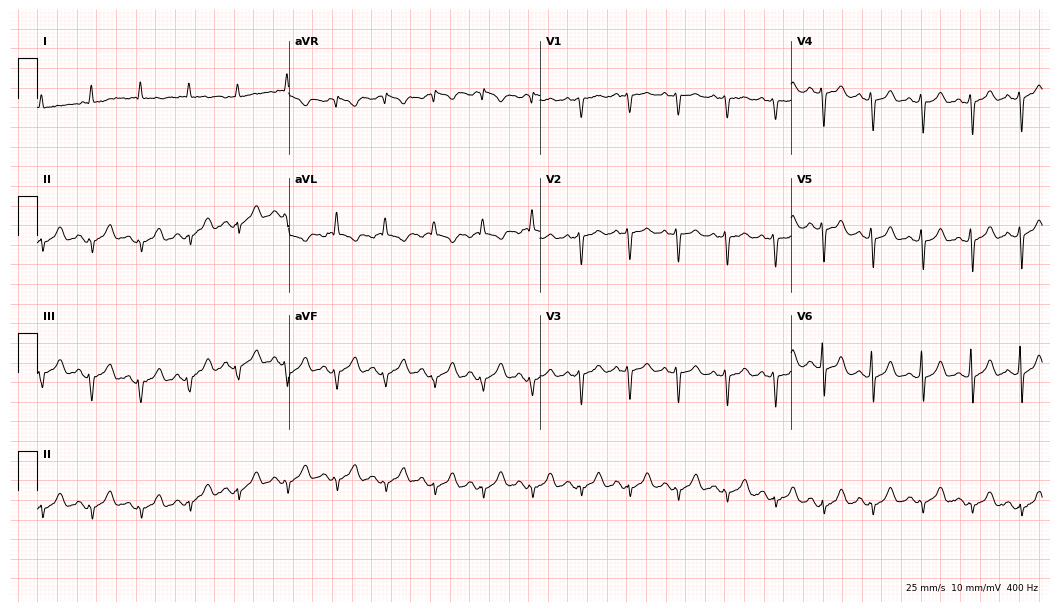
Standard 12-lead ECG recorded from a woman, 68 years old (10.2-second recording at 400 Hz). None of these six findings is recorded: first-degree AV block, right bundle branch block, left bundle branch block, sinus bradycardia, atrial fibrillation, sinus tachycardia. Other findings, if any, are not listed.